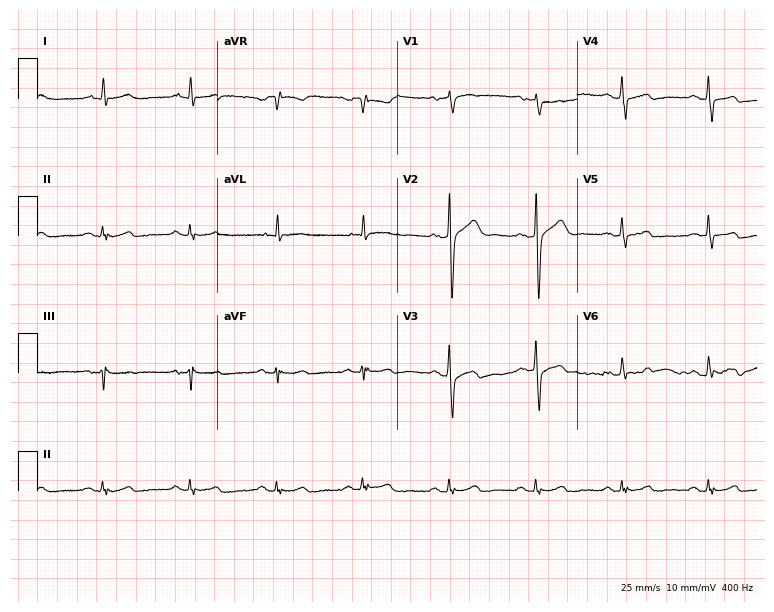
12-lead ECG from an 82-year-old male patient (7.3-second recording at 400 Hz). Recorded interpretation: within normal limits.